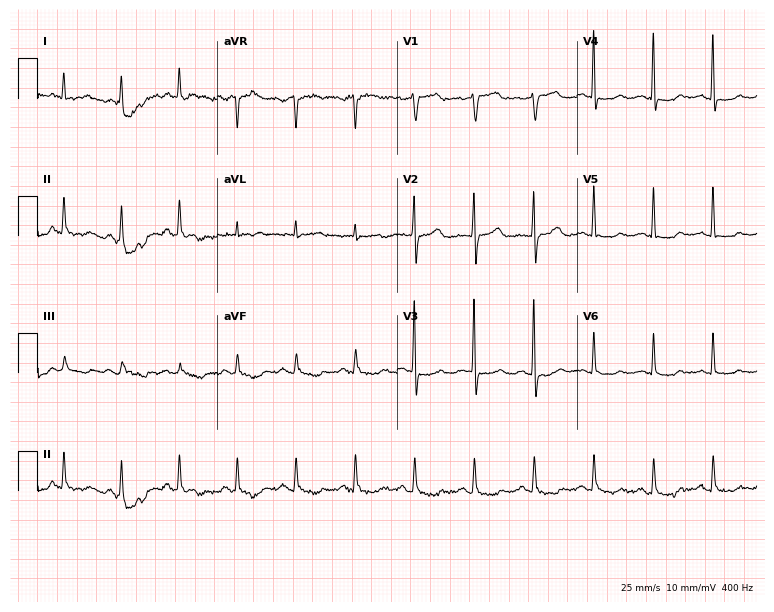
ECG — a 69-year-old male. Screened for six findings — first-degree AV block, right bundle branch block (RBBB), left bundle branch block (LBBB), sinus bradycardia, atrial fibrillation (AF), sinus tachycardia — none is recorded. Only these six findings were labelled.